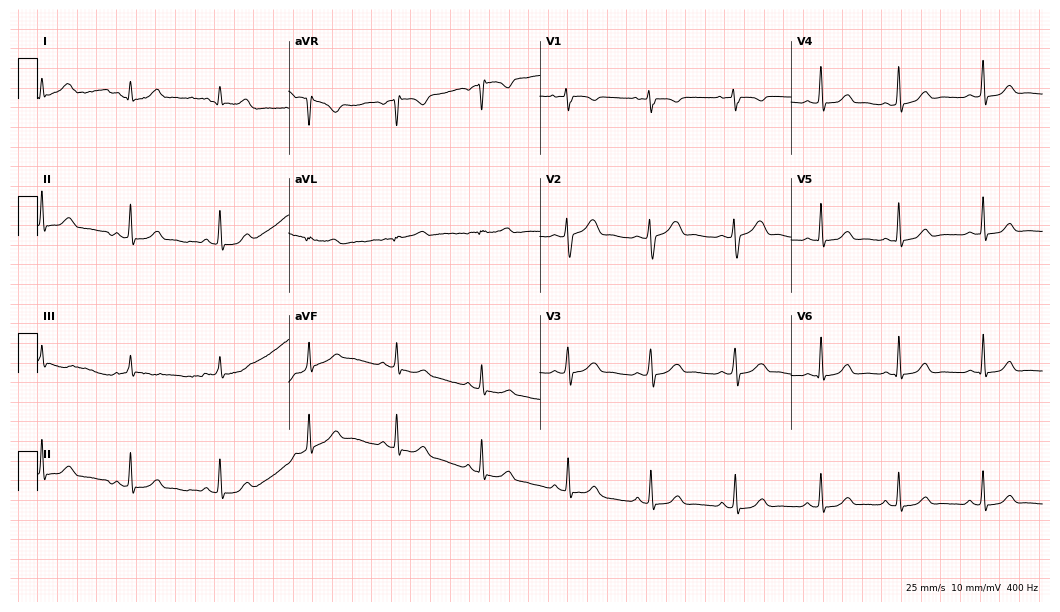
Resting 12-lead electrocardiogram (10.2-second recording at 400 Hz). Patient: a 20-year-old female. Read as a normal ECG.